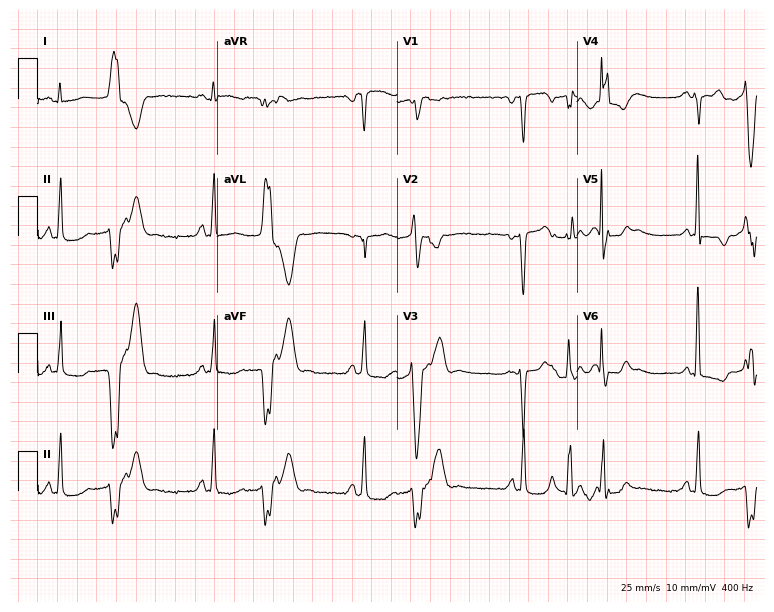
Resting 12-lead electrocardiogram (7.3-second recording at 400 Hz). Patient: a female, 44 years old. None of these six findings is recorded: first-degree AV block, right bundle branch block, left bundle branch block, sinus bradycardia, atrial fibrillation, sinus tachycardia. Only these six findings were labelled.